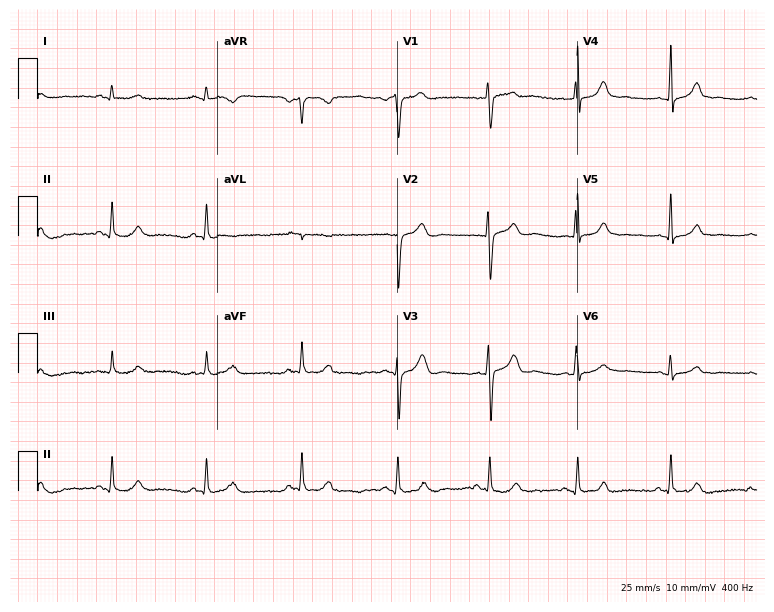
12-lead ECG from a 29-year-old woman (7.3-second recording at 400 Hz). Recorded interpretation: within normal limits.